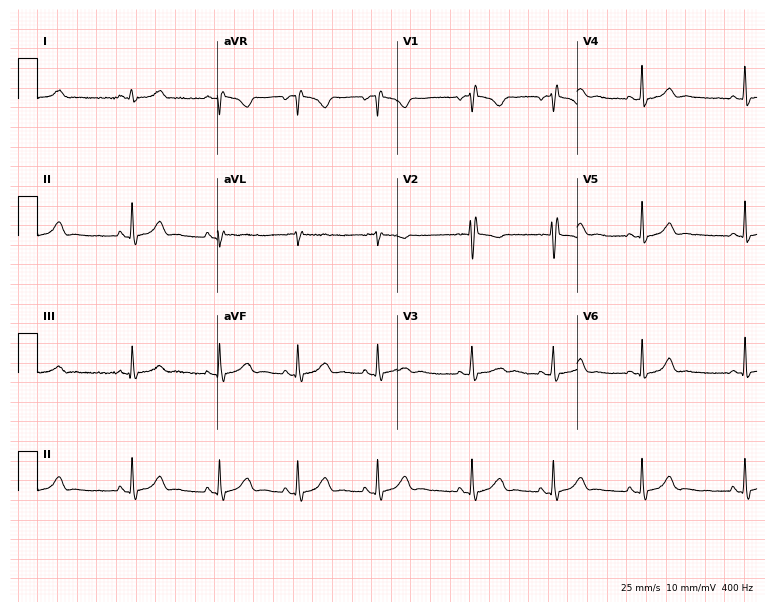
Electrocardiogram, a female, 21 years old. Of the six screened findings (first-degree AV block, right bundle branch block, left bundle branch block, sinus bradycardia, atrial fibrillation, sinus tachycardia), none is recorded.